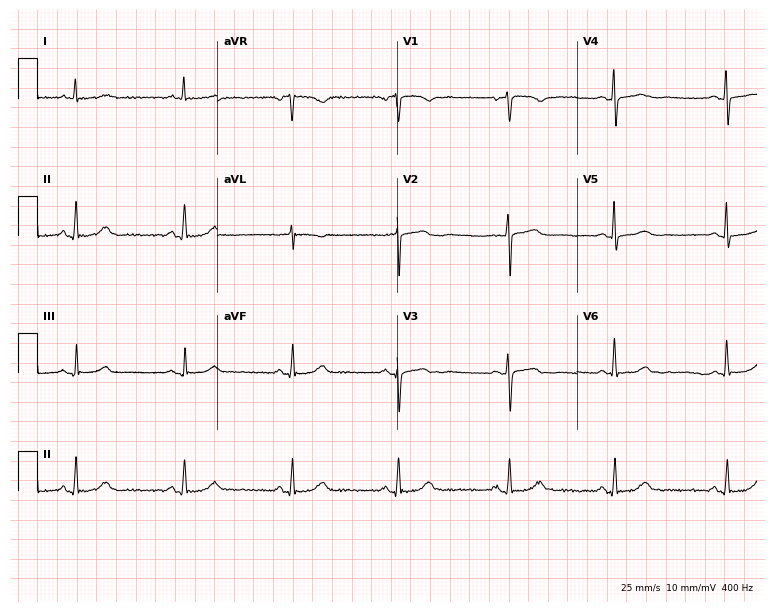
Standard 12-lead ECG recorded from a 51-year-old woman (7.3-second recording at 400 Hz). None of these six findings is recorded: first-degree AV block, right bundle branch block (RBBB), left bundle branch block (LBBB), sinus bradycardia, atrial fibrillation (AF), sinus tachycardia.